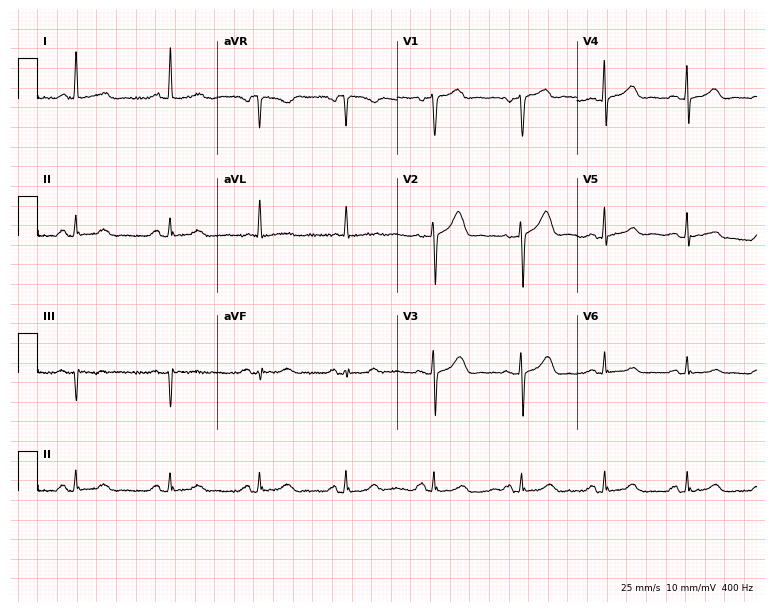
12-lead ECG from a 49-year-old female. No first-degree AV block, right bundle branch block (RBBB), left bundle branch block (LBBB), sinus bradycardia, atrial fibrillation (AF) or sinus tachycardia recorded for this tracing. Findings outside these six are not listed.